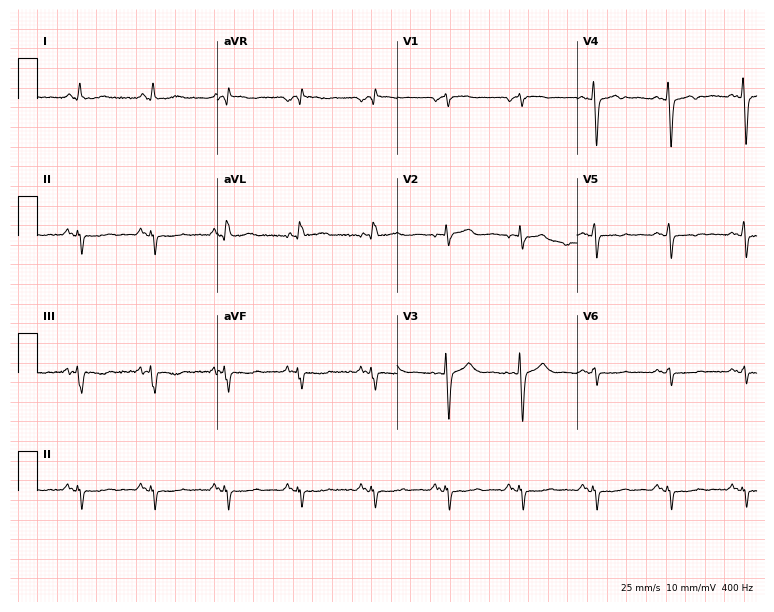
Resting 12-lead electrocardiogram (7.3-second recording at 400 Hz). Patient: a woman, 75 years old. None of these six findings is recorded: first-degree AV block, right bundle branch block, left bundle branch block, sinus bradycardia, atrial fibrillation, sinus tachycardia. Only these six findings were labelled.